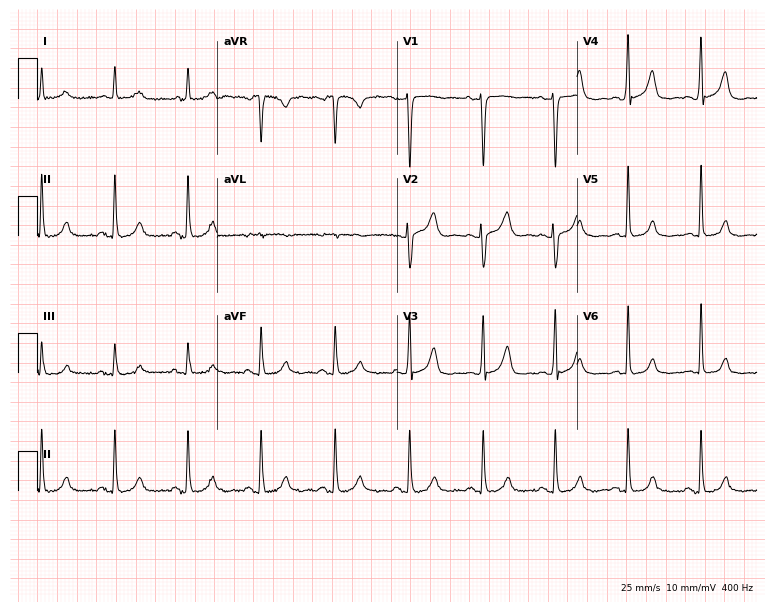
Electrocardiogram, a female, 67 years old. Overall reading on record: normal ECG.